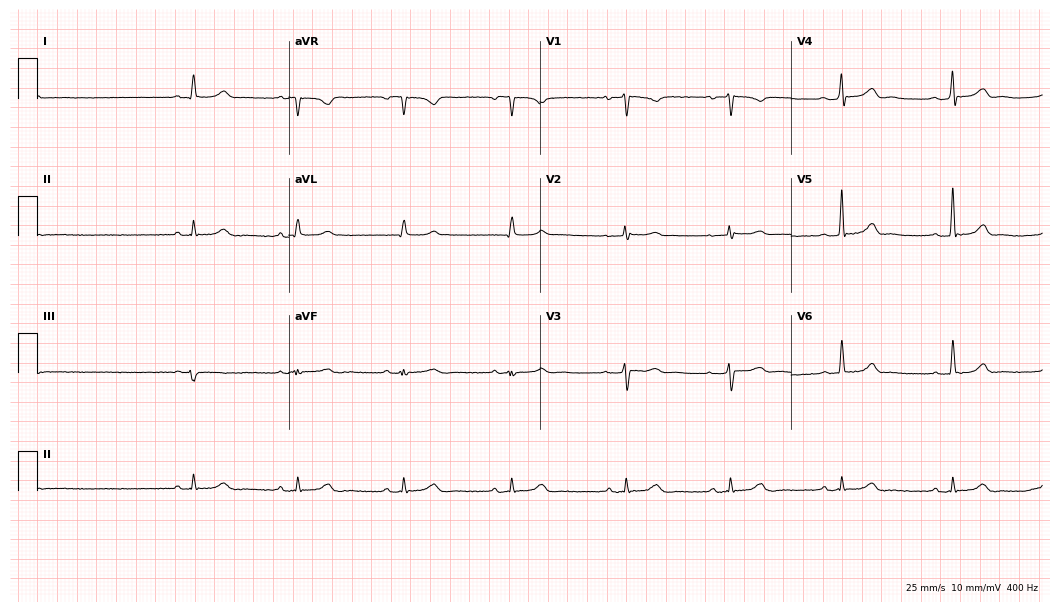
Standard 12-lead ECG recorded from a 54-year-old female (10.2-second recording at 400 Hz). None of these six findings is recorded: first-degree AV block, right bundle branch block (RBBB), left bundle branch block (LBBB), sinus bradycardia, atrial fibrillation (AF), sinus tachycardia.